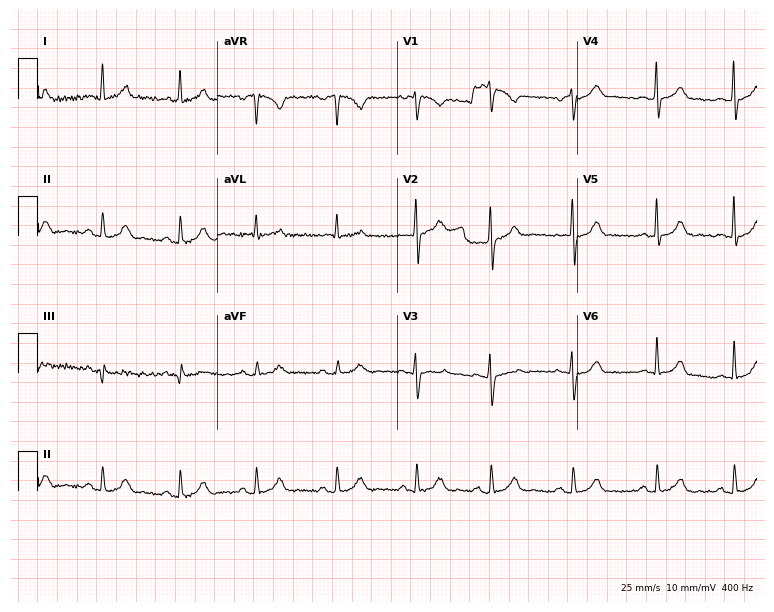
ECG (7.3-second recording at 400 Hz) — a 26-year-old woman. Labelled as a normal ECG.